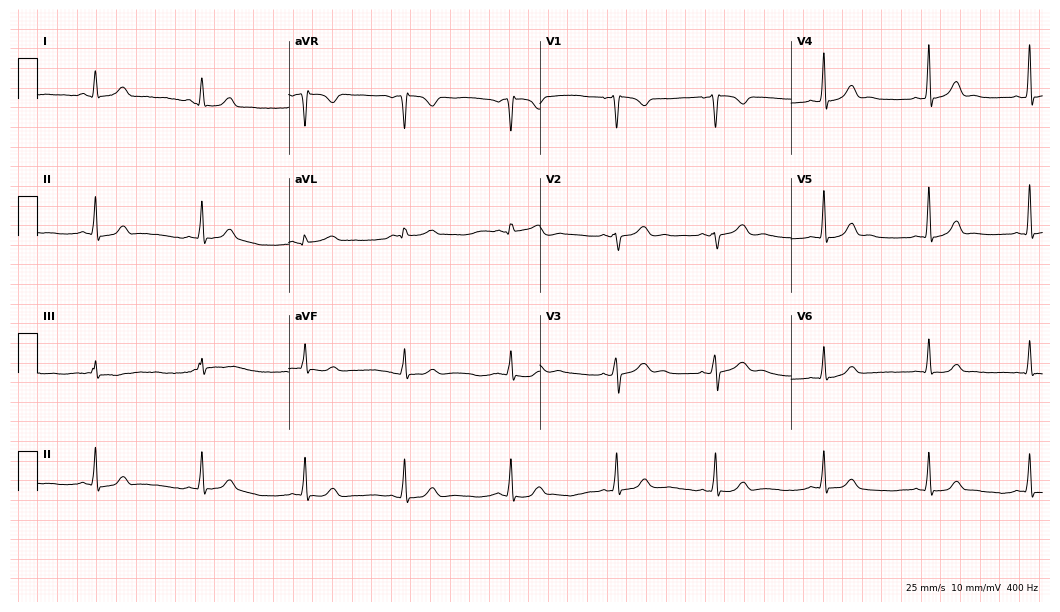
12-lead ECG from a female patient, 17 years old. Screened for six findings — first-degree AV block, right bundle branch block, left bundle branch block, sinus bradycardia, atrial fibrillation, sinus tachycardia — none is recorded. Other findings, if any, are not listed.